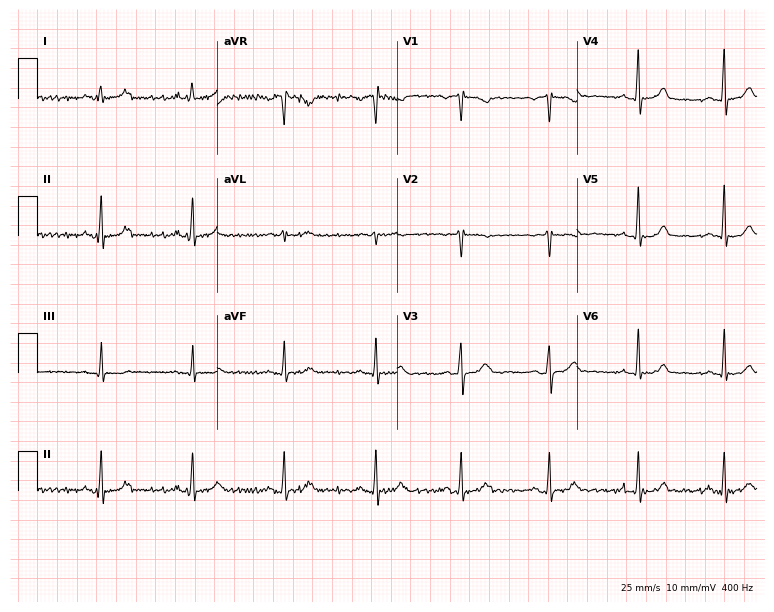
Standard 12-lead ECG recorded from a 33-year-old woman. None of these six findings is recorded: first-degree AV block, right bundle branch block (RBBB), left bundle branch block (LBBB), sinus bradycardia, atrial fibrillation (AF), sinus tachycardia.